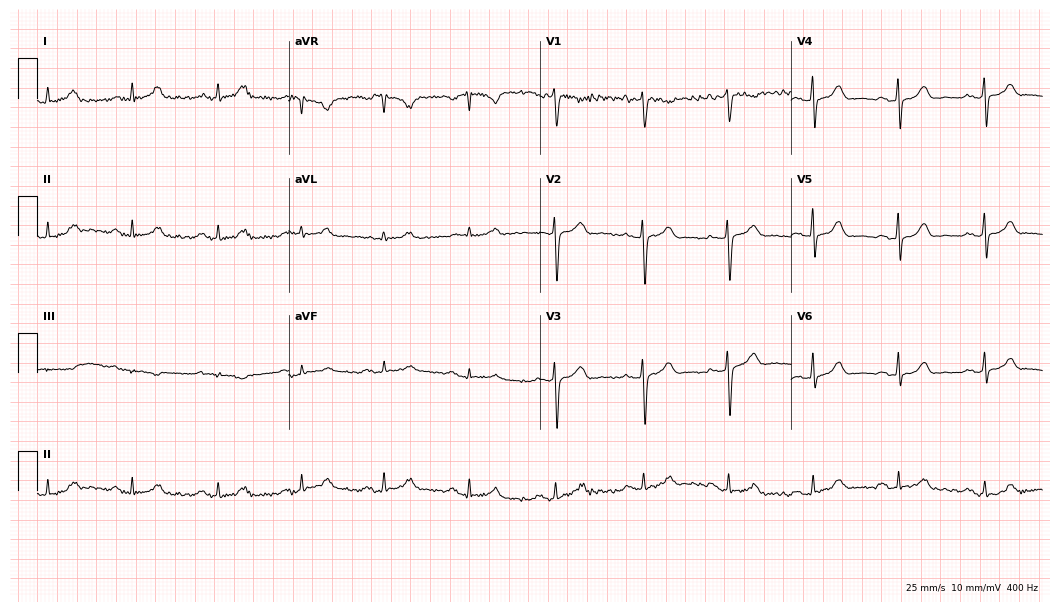
Electrocardiogram (10.2-second recording at 400 Hz), a female, 60 years old. Overall reading on record: normal ECG.